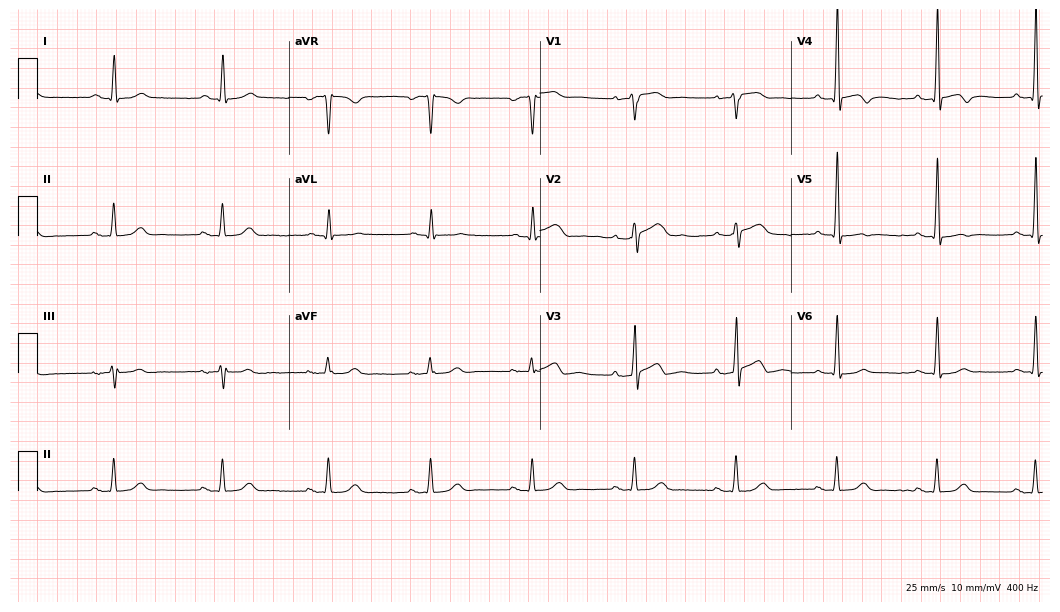
ECG (10.2-second recording at 400 Hz) — a male, 82 years old. Labelled as a normal ECG.